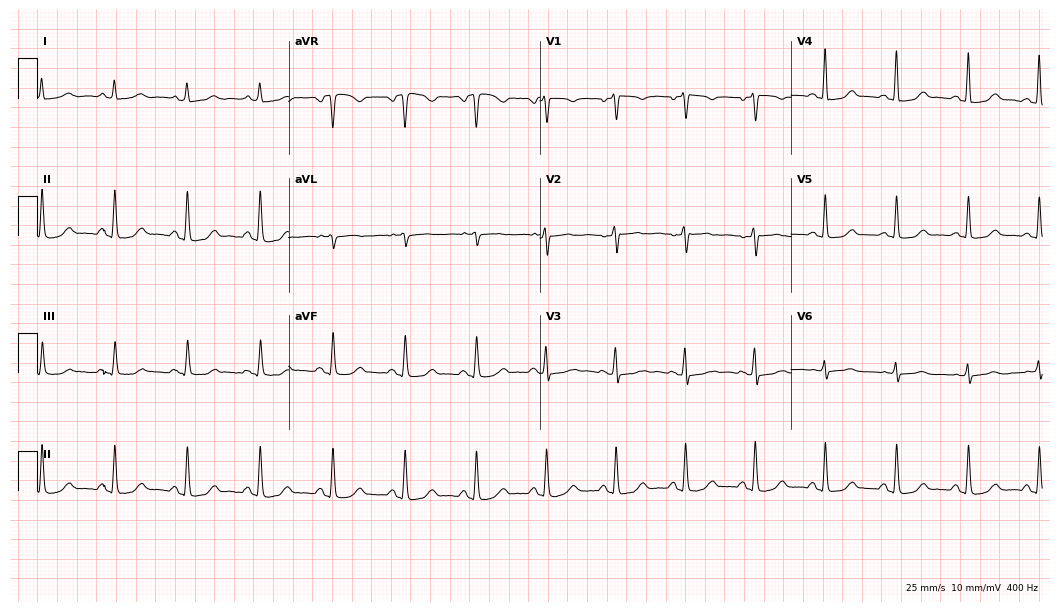
Standard 12-lead ECG recorded from a female patient, 57 years old. Read as a normal ECG.